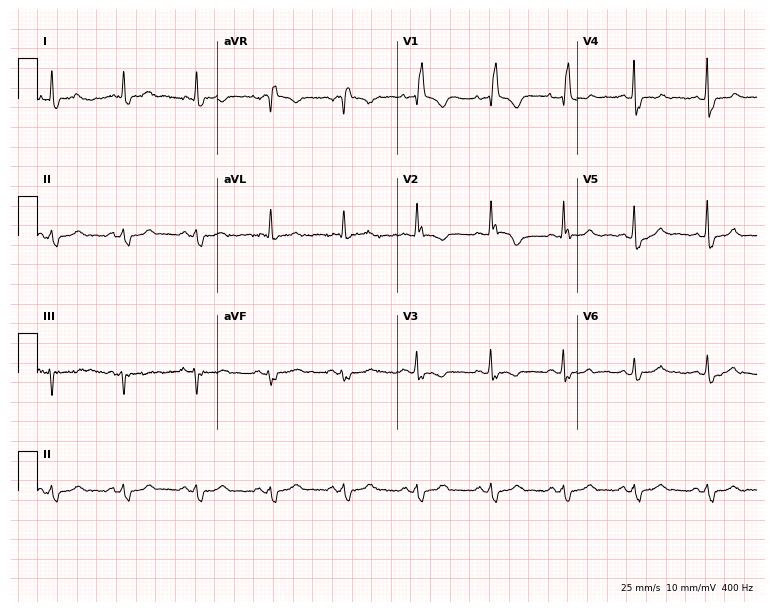
Resting 12-lead electrocardiogram (7.3-second recording at 400 Hz). Patient: an 85-year-old female. None of these six findings is recorded: first-degree AV block, right bundle branch block, left bundle branch block, sinus bradycardia, atrial fibrillation, sinus tachycardia.